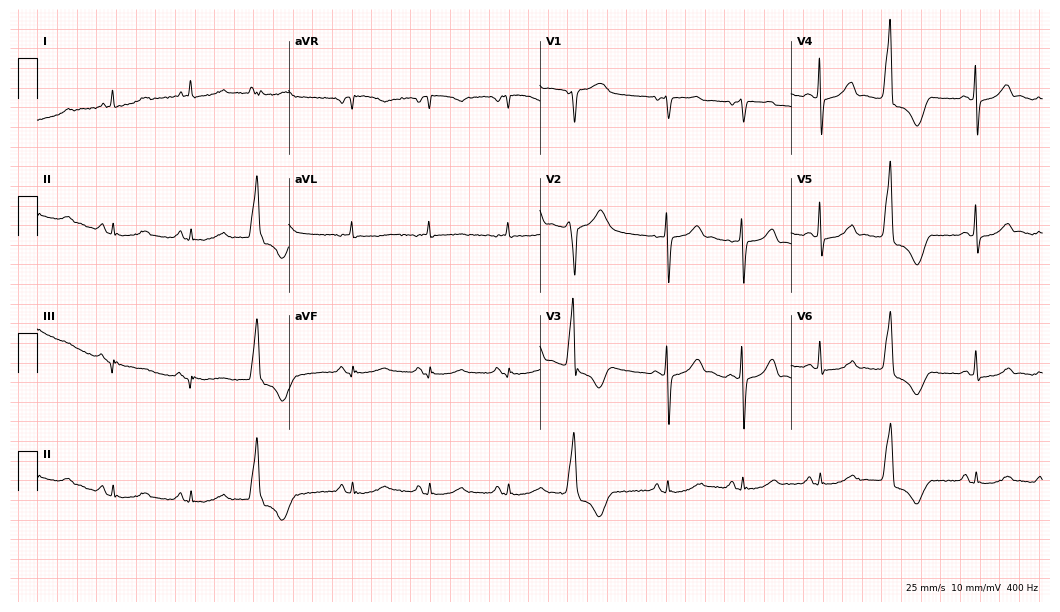
ECG — an 81-year-old male. Screened for six findings — first-degree AV block, right bundle branch block, left bundle branch block, sinus bradycardia, atrial fibrillation, sinus tachycardia — none is recorded. Only these six findings were labelled.